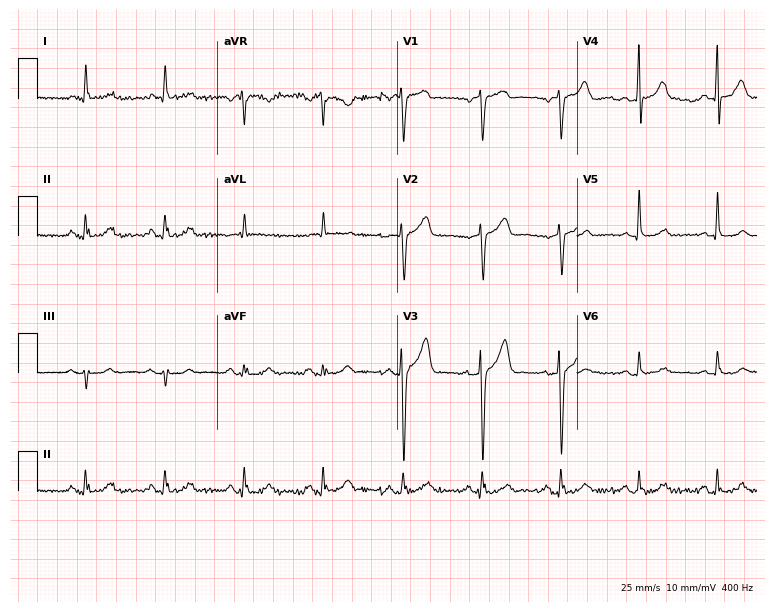
Resting 12-lead electrocardiogram (7.3-second recording at 400 Hz). Patient: a male, 71 years old. None of these six findings is recorded: first-degree AV block, right bundle branch block, left bundle branch block, sinus bradycardia, atrial fibrillation, sinus tachycardia.